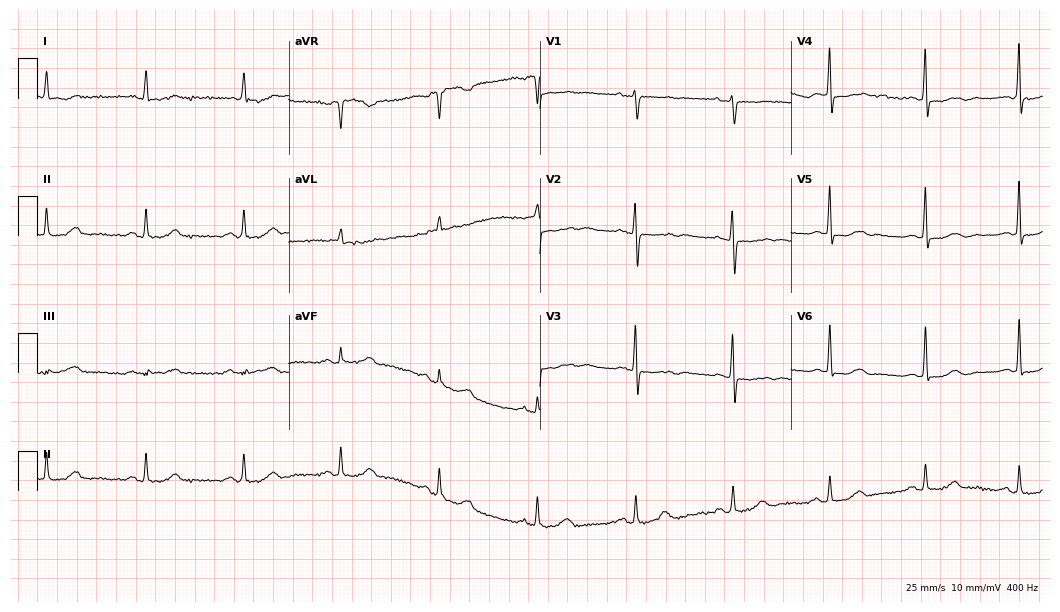
12-lead ECG from a woman, 61 years old (10.2-second recording at 400 Hz). Recorded interpretation: within normal limits.